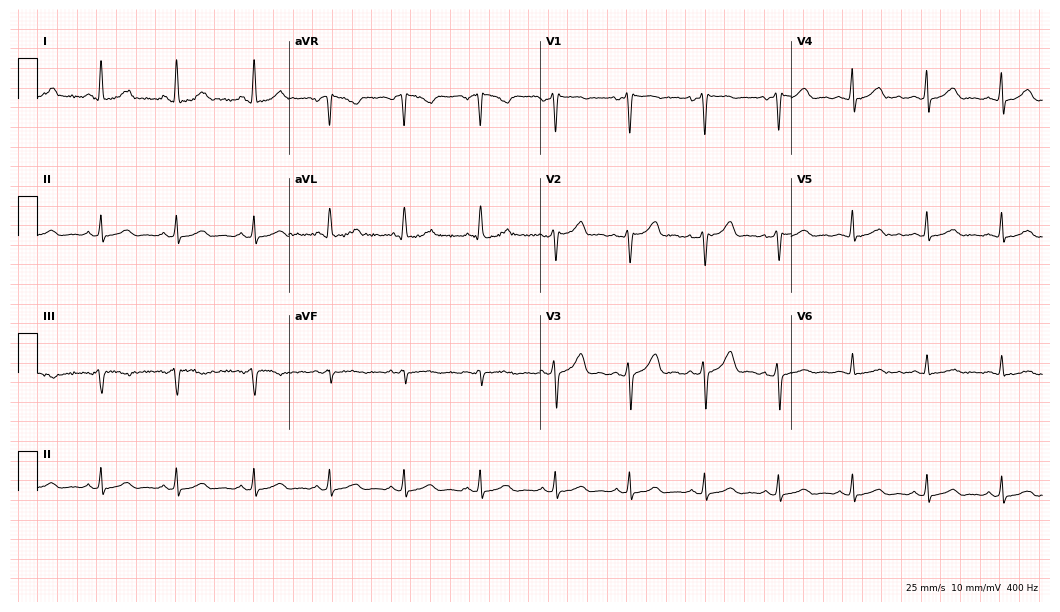
Resting 12-lead electrocardiogram (10.2-second recording at 400 Hz). Patient: a 35-year-old female. None of these six findings is recorded: first-degree AV block, right bundle branch block, left bundle branch block, sinus bradycardia, atrial fibrillation, sinus tachycardia.